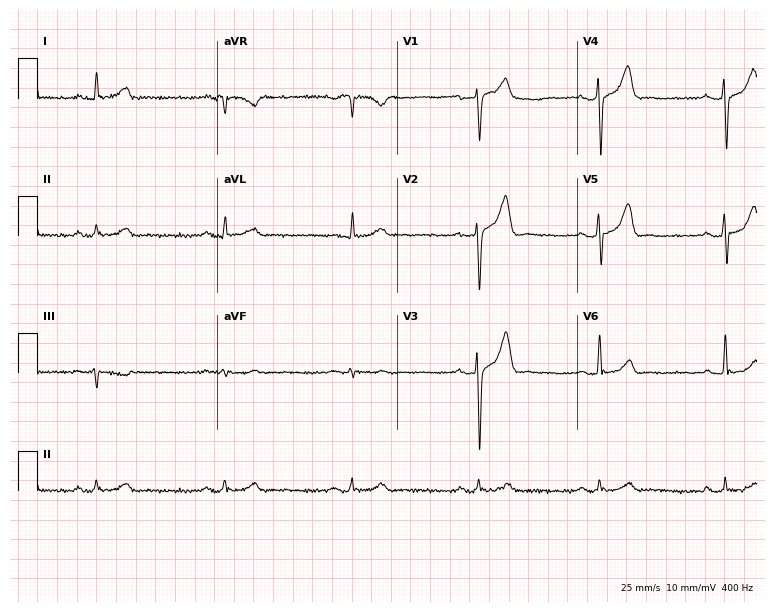
12-lead ECG (7.3-second recording at 400 Hz) from a 33-year-old male patient. Labelled as a normal ECG.